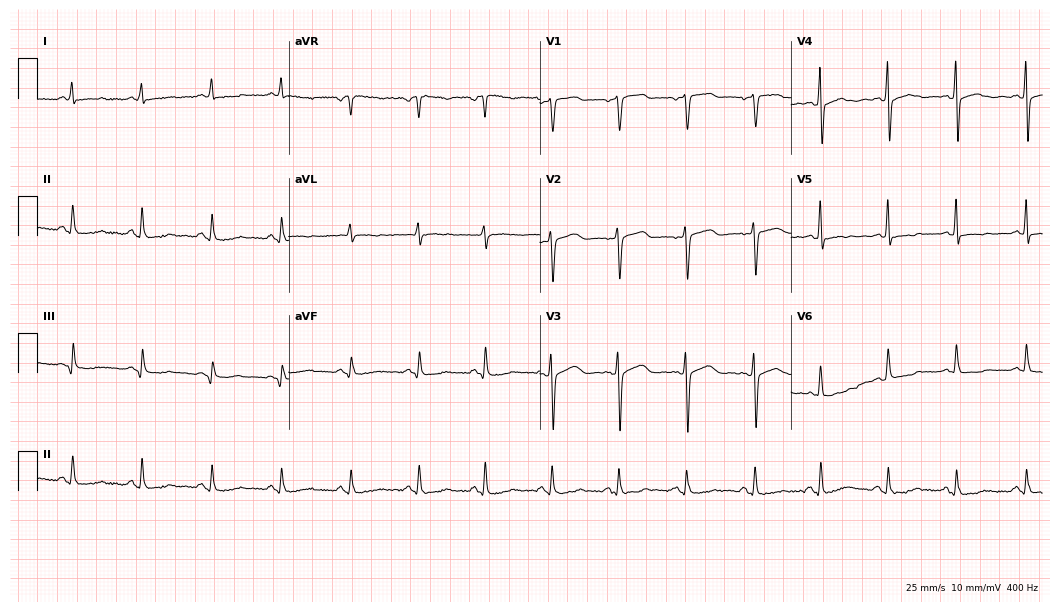
Resting 12-lead electrocardiogram. Patient: a female, 56 years old. None of these six findings is recorded: first-degree AV block, right bundle branch block, left bundle branch block, sinus bradycardia, atrial fibrillation, sinus tachycardia. Only these six findings were labelled.